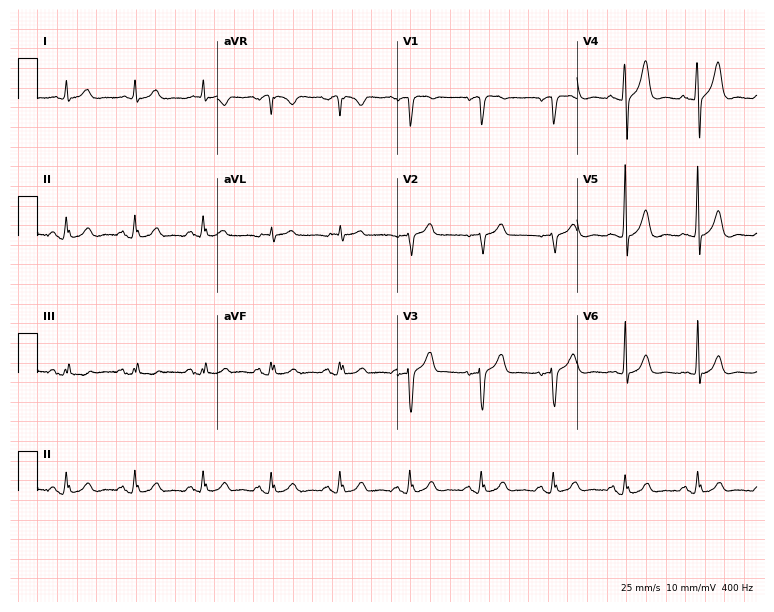
Standard 12-lead ECG recorded from a male patient, 66 years old (7.3-second recording at 400 Hz). Read as a normal ECG.